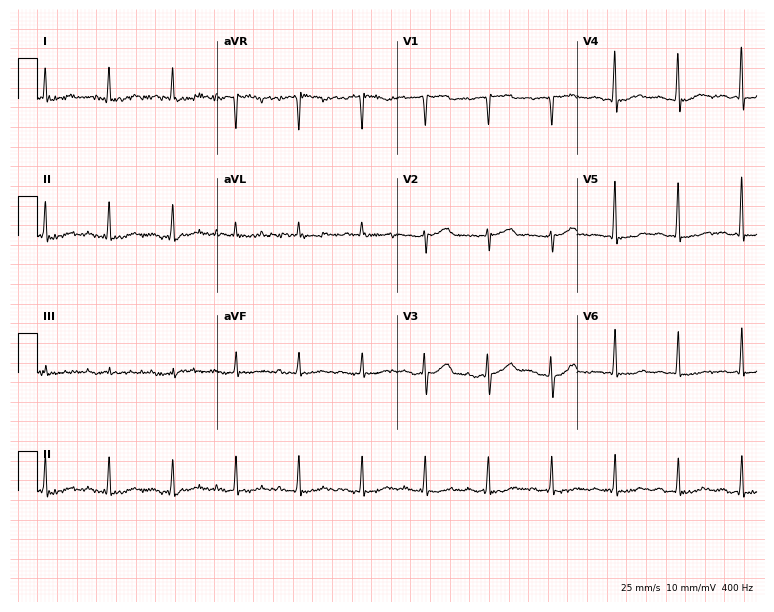
ECG (7.3-second recording at 400 Hz) — a 64-year-old man. Screened for six findings — first-degree AV block, right bundle branch block, left bundle branch block, sinus bradycardia, atrial fibrillation, sinus tachycardia — none is recorded.